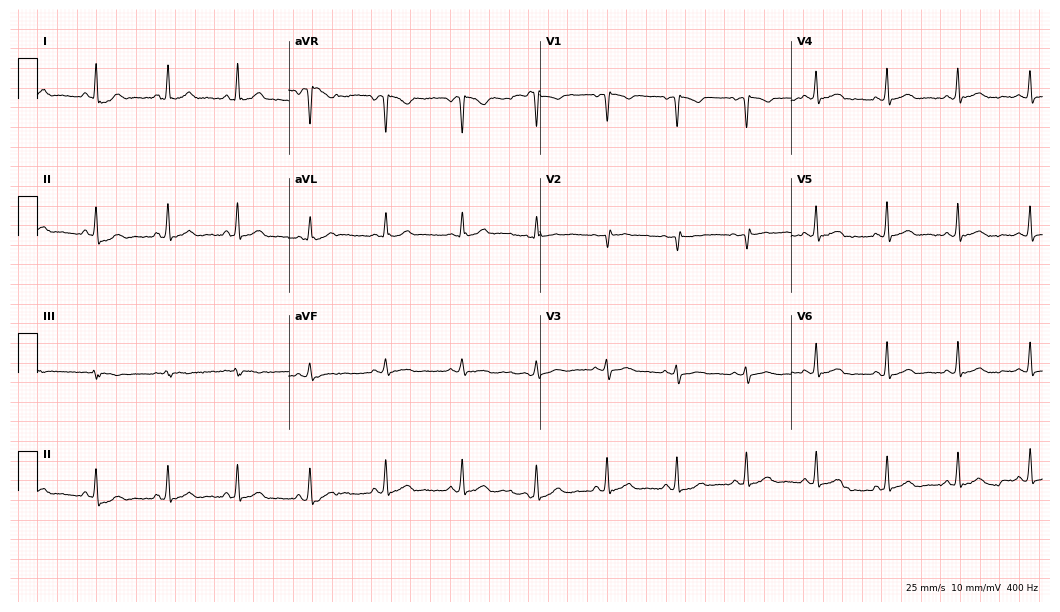
Resting 12-lead electrocardiogram (10.2-second recording at 400 Hz). Patient: a female, 31 years old. Read as a normal ECG.